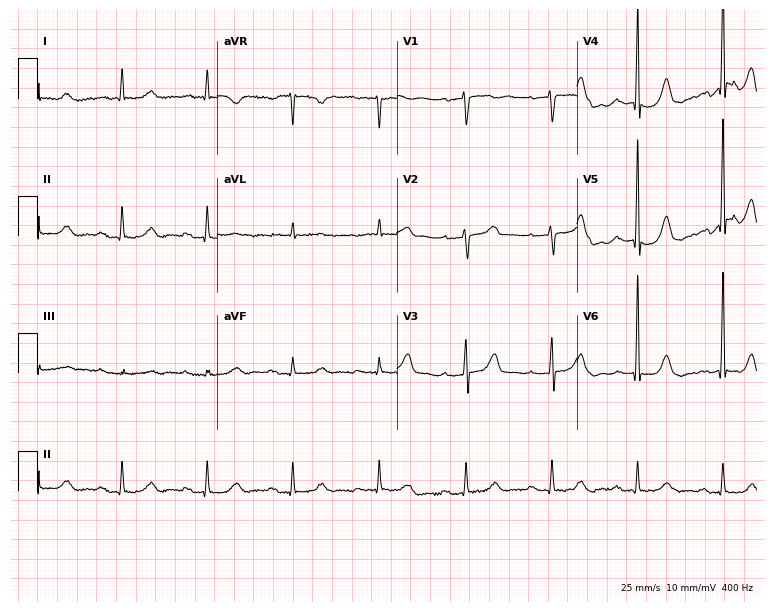
Resting 12-lead electrocardiogram (7.3-second recording at 400 Hz). Patient: a 75-year-old male. The tracing shows first-degree AV block.